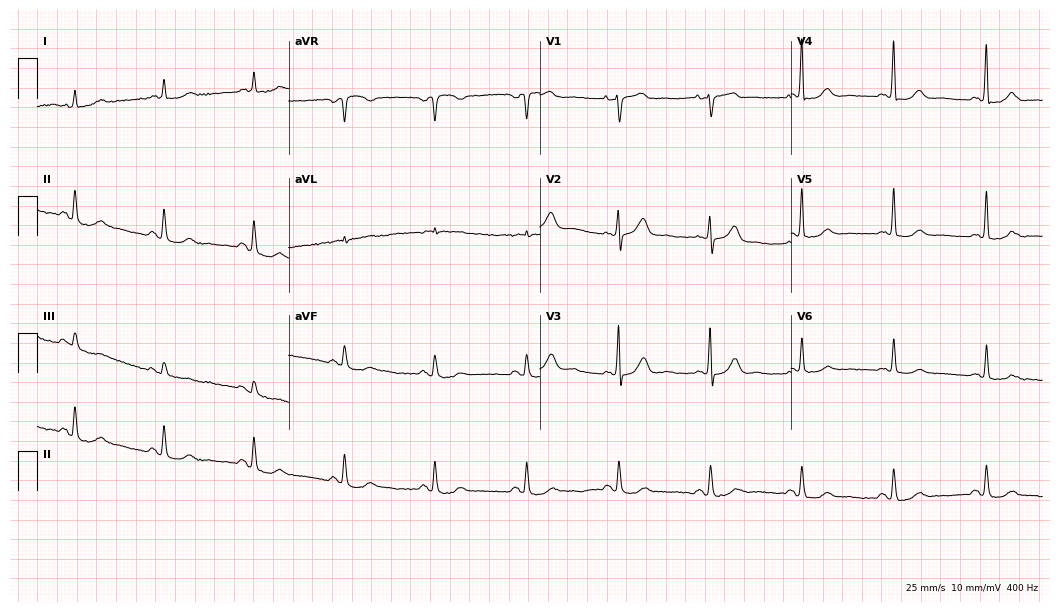
Standard 12-lead ECG recorded from an 81-year-old male patient (10.2-second recording at 400 Hz). None of these six findings is recorded: first-degree AV block, right bundle branch block, left bundle branch block, sinus bradycardia, atrial fibrillation, sinus tachycardia. Only these six findings were labelled.